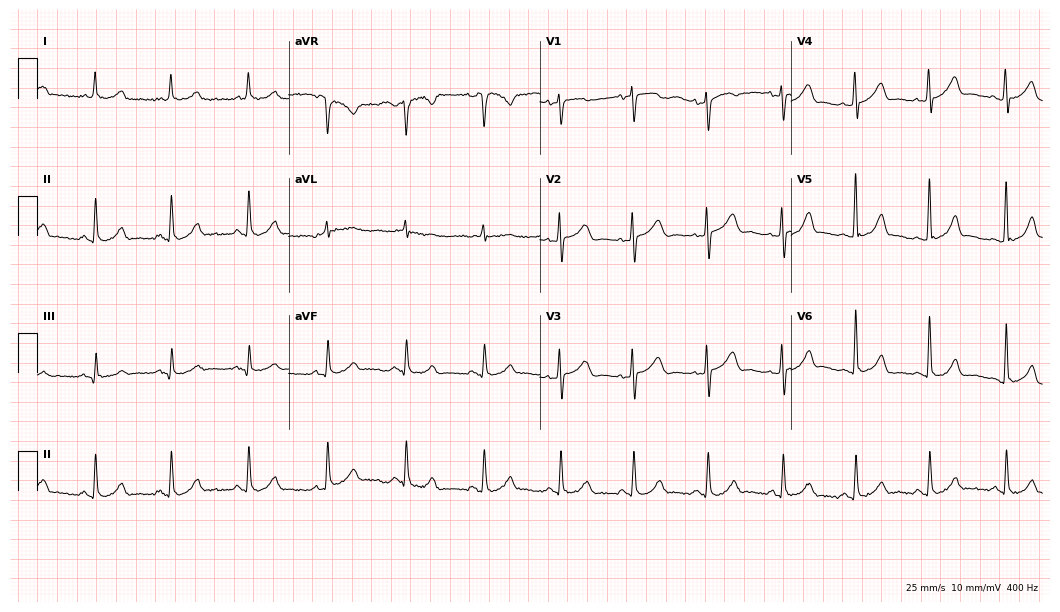
Electrocardiogram (10.2-second recording at 400 Hz), a female patient, 58 years old. Overall reading on record: normal ECG.